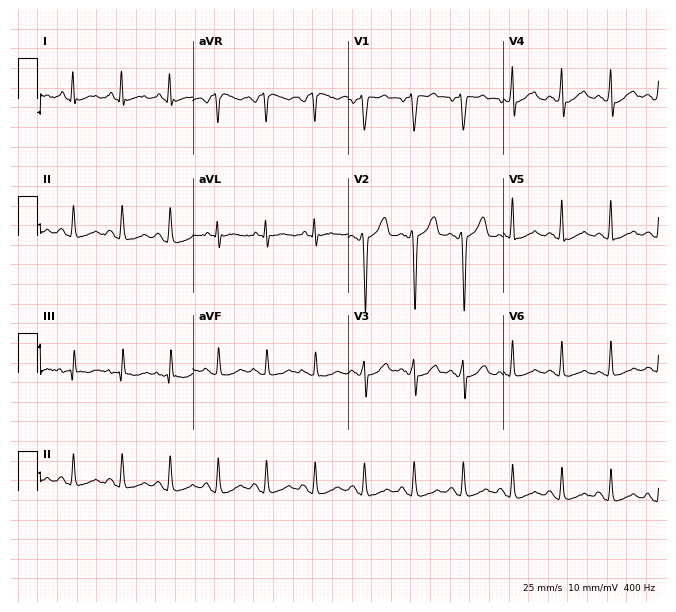
Standard 12-lead ECG recorded from a man, 45 years old. The tracing shows sinus tachycardia (a sinus rate of 100 beats per minute or more).